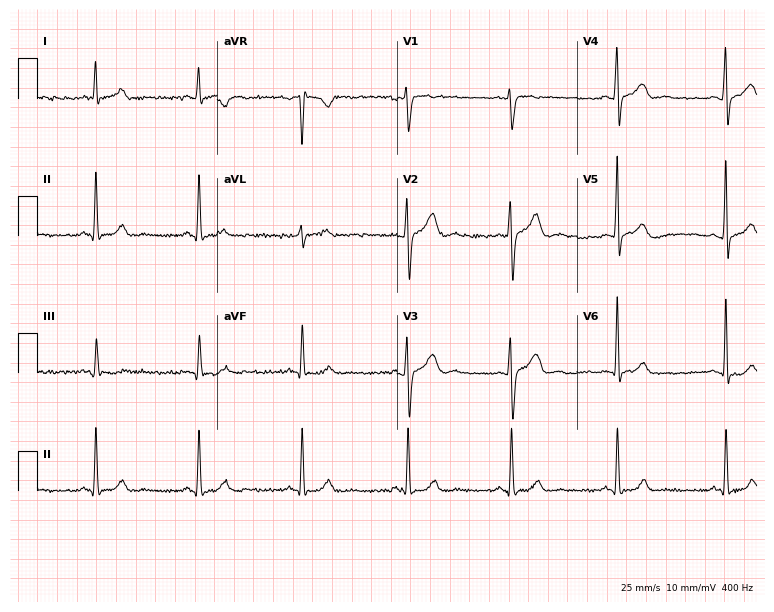
Standard 12-lead ECG recorded from a male, 38 years old. Read as a normal ECG.